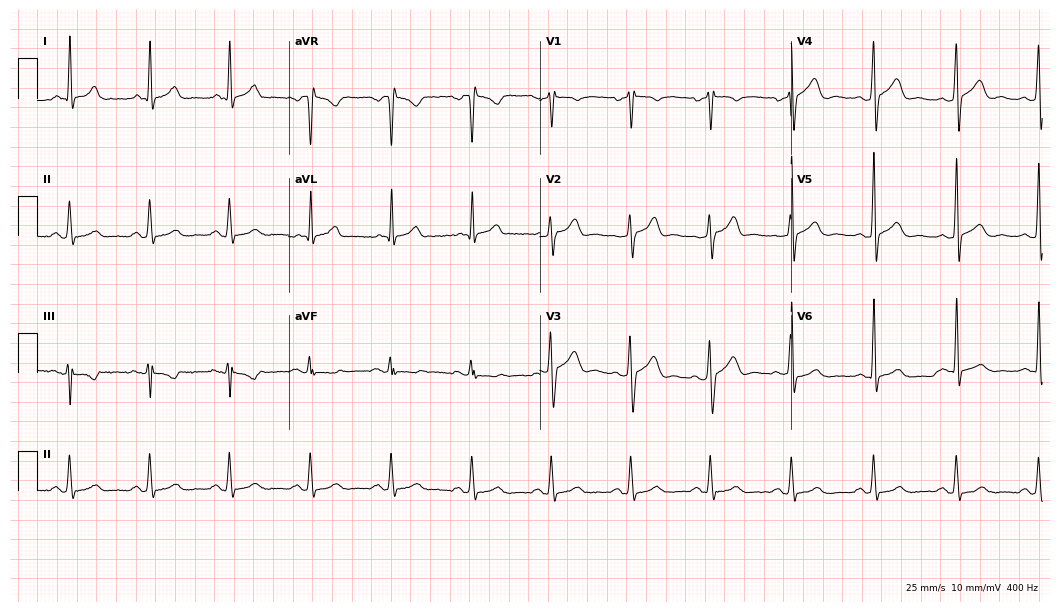
Standard 12-lead ECG recorded from a male patient, 52 years old (10.2-second recording at 400 Hz). Read as a normal ECG.